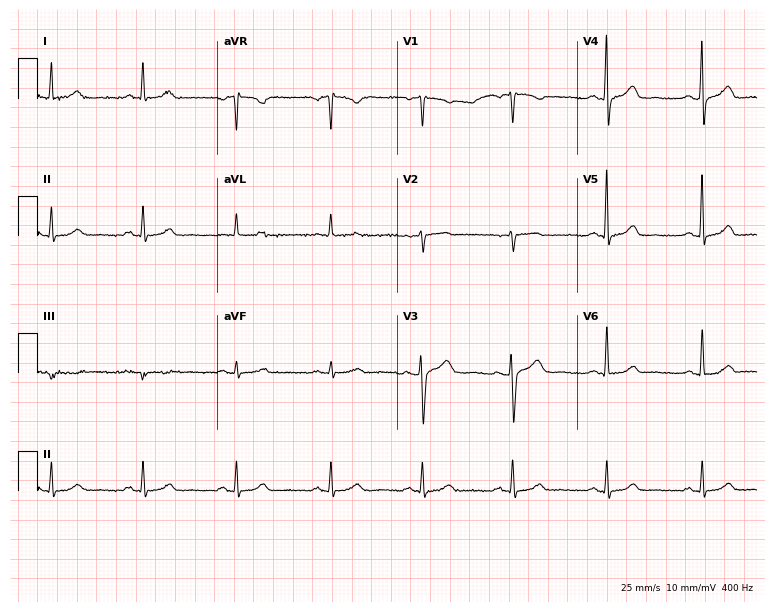
Standard 12-lead ECG recorded from a 62-year-old female patient. Read as a normal ECG.